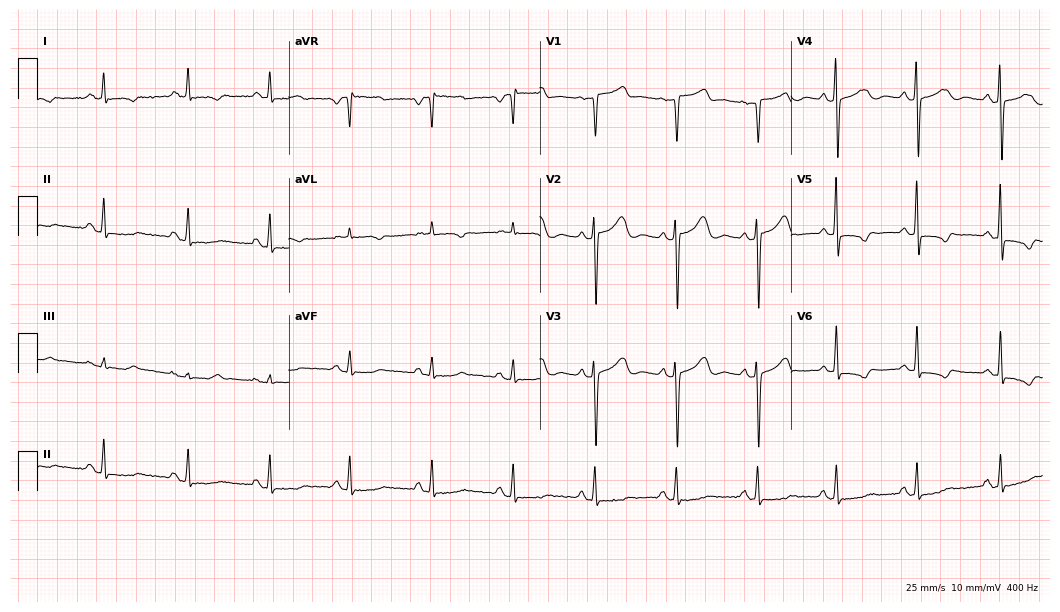
Electrocardiogram (10.2-second recording at 400 Hz), a male, 57 years old. Of the six screened findings (first-degree AV block, right bundle branch block (RBBB), left bundle branch block (LBBB), sinus bradycardia, atrial fibrillation (AF), sinus tachycardia), none is recorded.